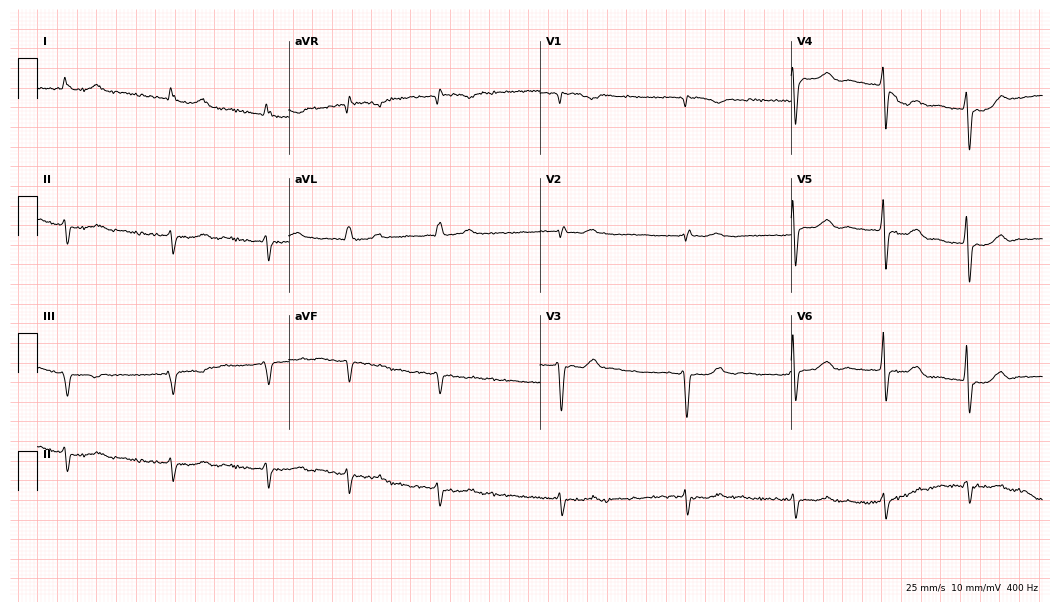
Electrocardiogram, a man, 86 years old. Interpretation includes atrial fibrillation.